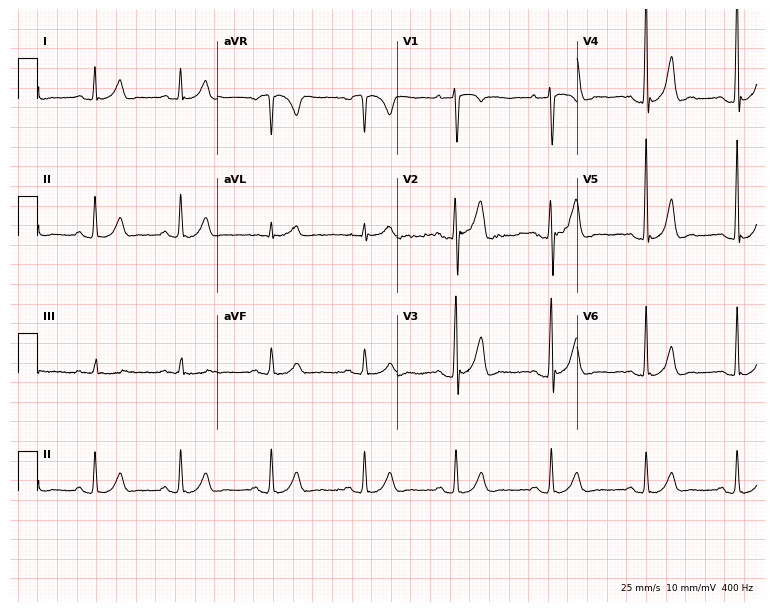
Resting 12-lead electrocardiogram. Patient: a 41-year-old man. None of these six findings is recorded: first-degree AV block, right bundle branch block, left bundle branch block, sinus bradycardia, atrial fibrillation, sinus tachycardia.